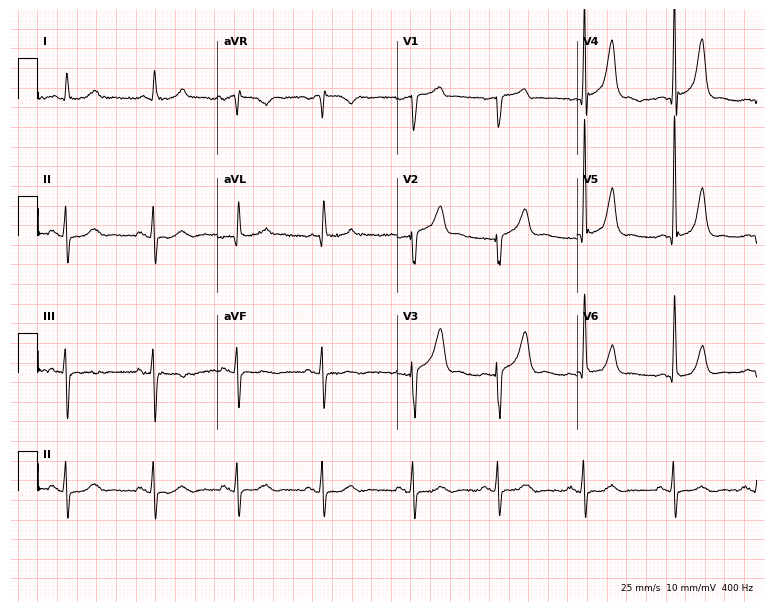
Electrocardiogram, a male, 61 years old. Of the six screened findings (first-degree AV block, right bundle branch block, left bundle branch block, sinus bradycardia, atrial fibrillation, sinus tachycardia), none is recorded.